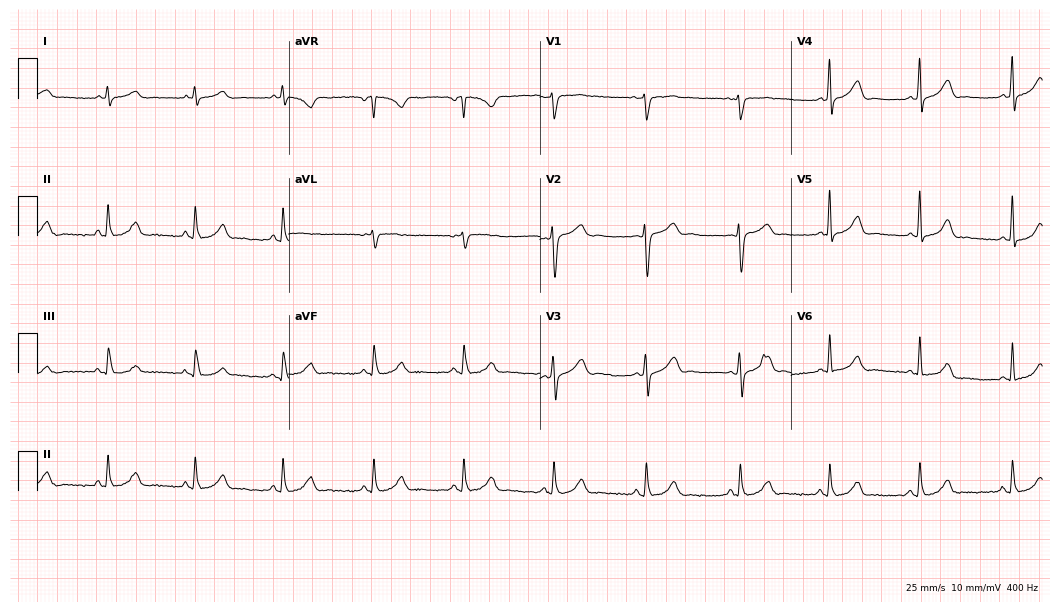
12-lead ECG (10.2-second recording at 400 Hz) from a female, 33 years old. Labelled as a normal ECG.